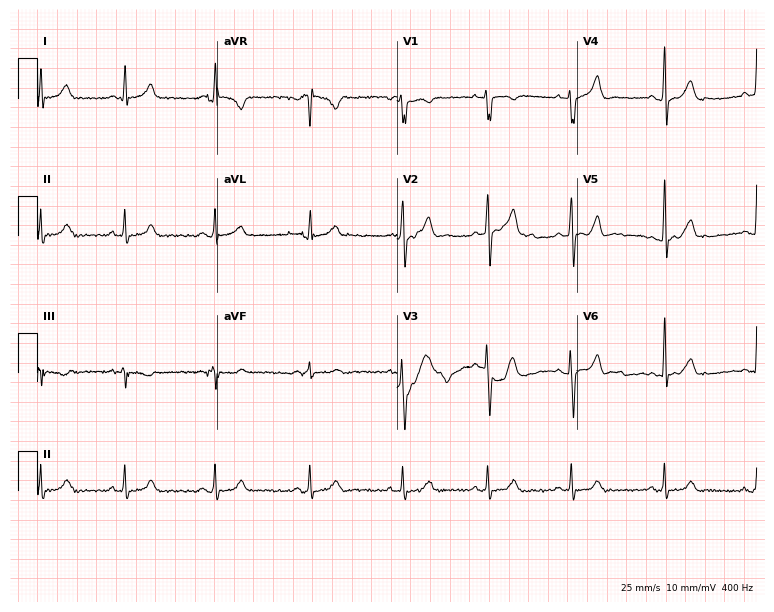
Resting 12-lead electrocardiogram (7.3-second recording at 400 Hz). Patient: a 23-year-old male. None of these six findings is recorded: first-degree AV block, right bundle branch block (RBBB), left bundle branch block (LBBB), sinus bradycardia, atrial fibrillation (AF), sinus tachycardia. Only these six findings were labelled.